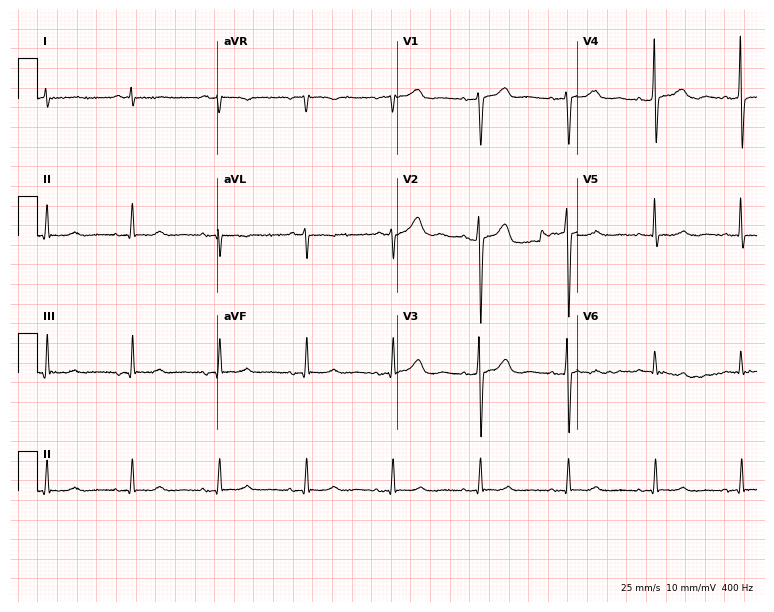
12-lead ECG from an 80-year-old female patient (7.3-second recording at 400 Hz). No first-degree AV block, right bundle branch block, left bundle branch block, sinus bradycardia, atrial fibrillation or sinus tachycardia recorded for this tracing. Findings outside these six are not listed.